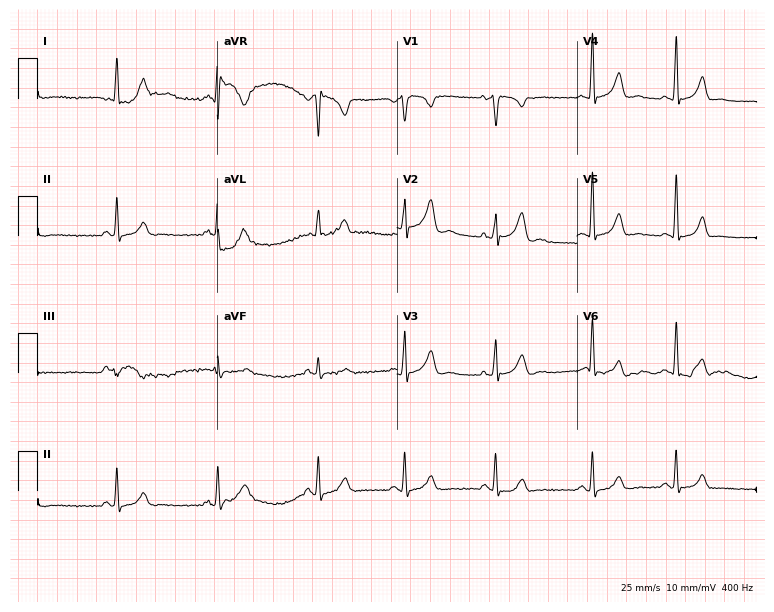
Resting 12-lead electrocardiogram. Patient: a 30-year-old female. None of these six findings is recorded: first-degree AV block, right bundle branch block, left bundle branch block, sinus bradycardia, atrial fibrillation, sinus tachycardia.